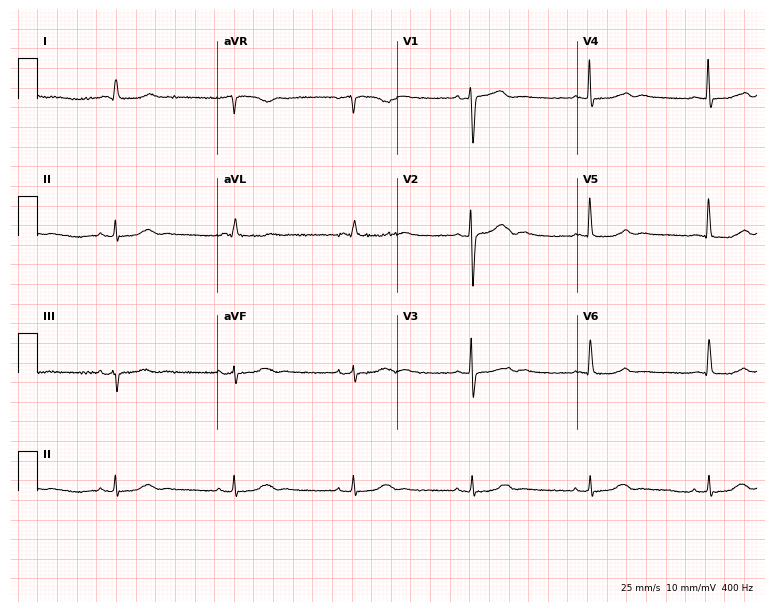
Resting 12-lead electrocardiogram. Patient: a female, 68 years old. The tracing shows sinus bradycardia (a sinus rate of 50 beats per minute or less).